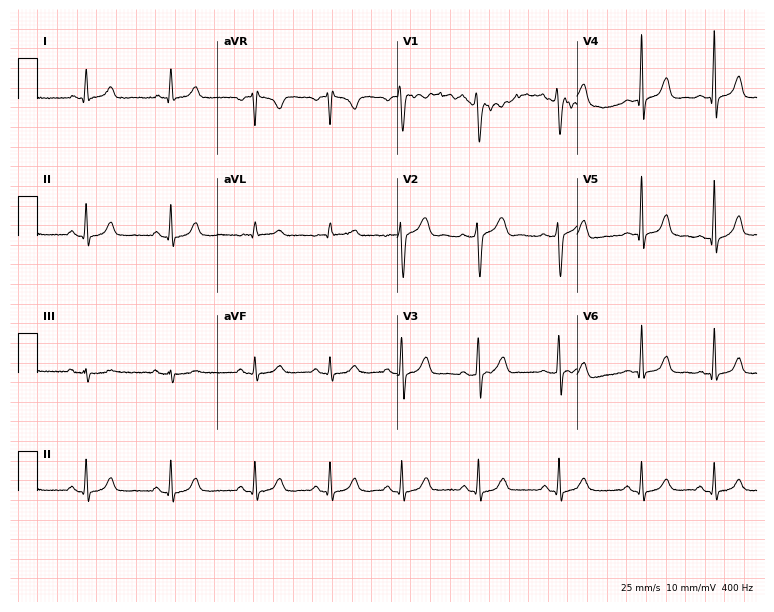
Standard 12-lead ECG recorded from a female, 43 years old. Read as a normal ECG.